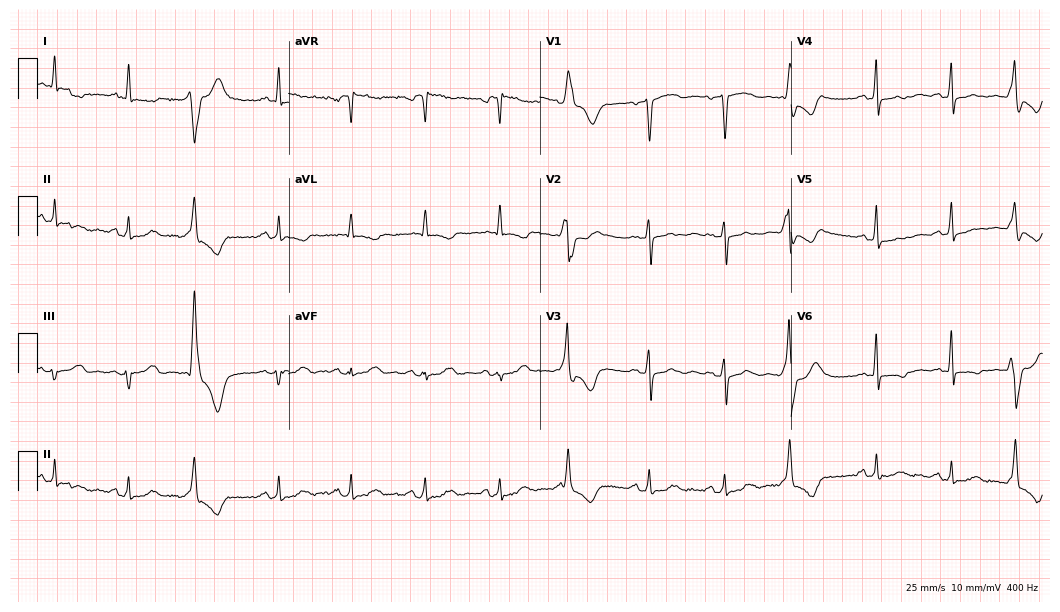
Resting 12-lead electrocardiogram (10.2-second recording at 400 Hz). Patient: a 62-year-old female. None of these six findings is recorded: first-degree AV block, right bundle branch block, left bundle branch block, sinus bradycardia, atrial fibrillation, sinus tachycardia.